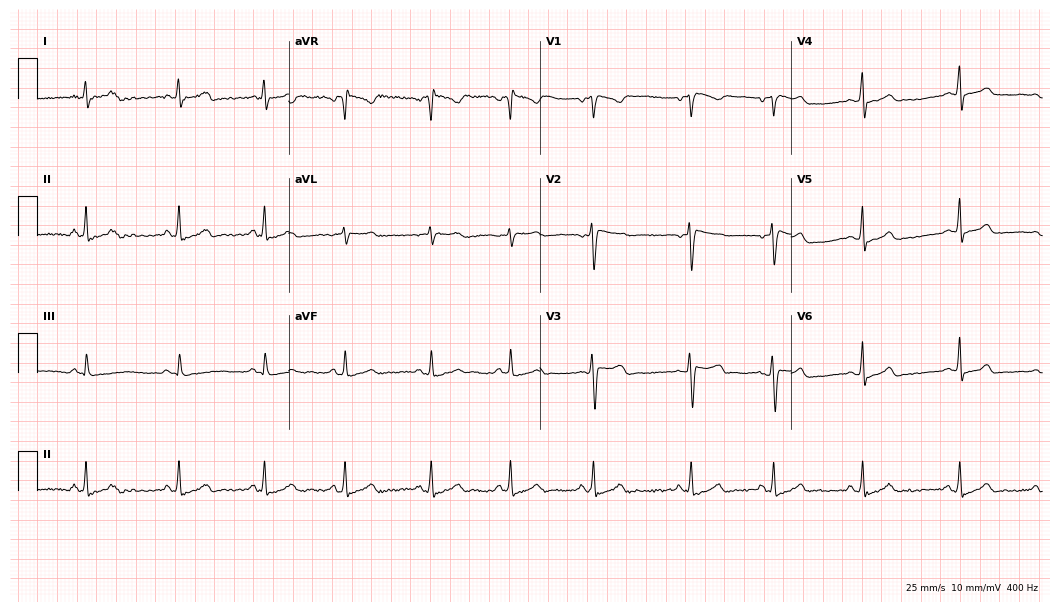
Resting 12-lead electrocardiogram (10.2-second recording at 400 Hz). Patient: a 31-year-old female. Read as a normal ECG.